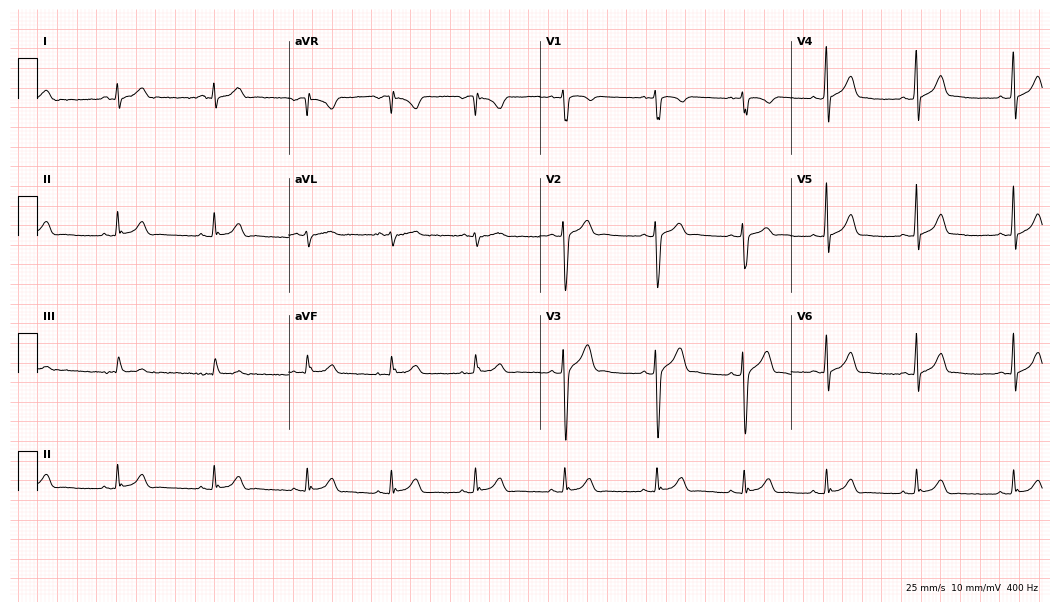
12-lead ECG from an 18-year-old male (10.2-second recording at 400 Hz). Recorded interpretation: within normal limits.